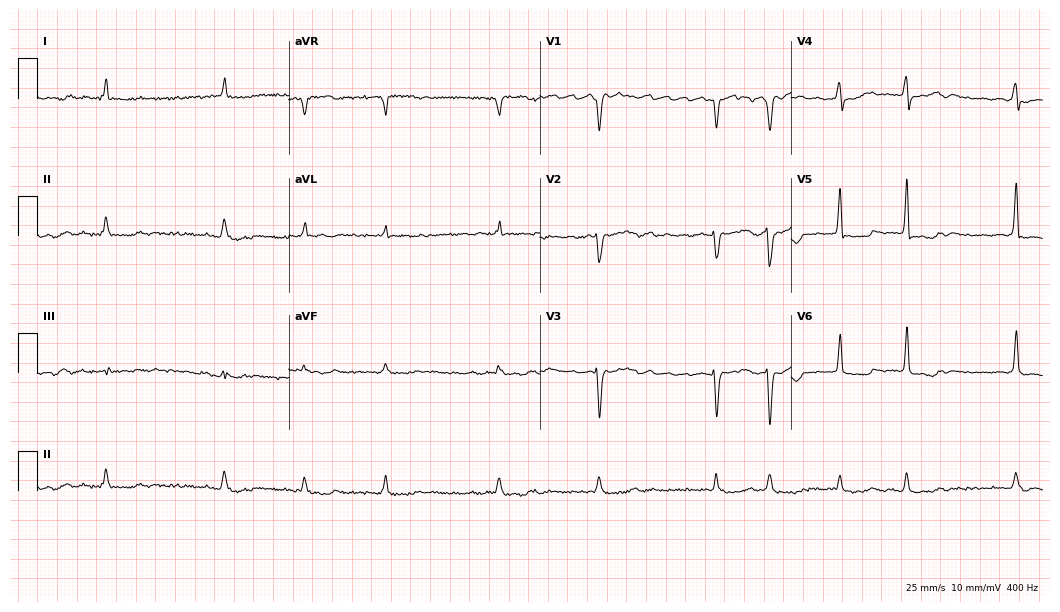
12-lead ECG from a 52-year-old female patient. Findings include atrial fibrillation.